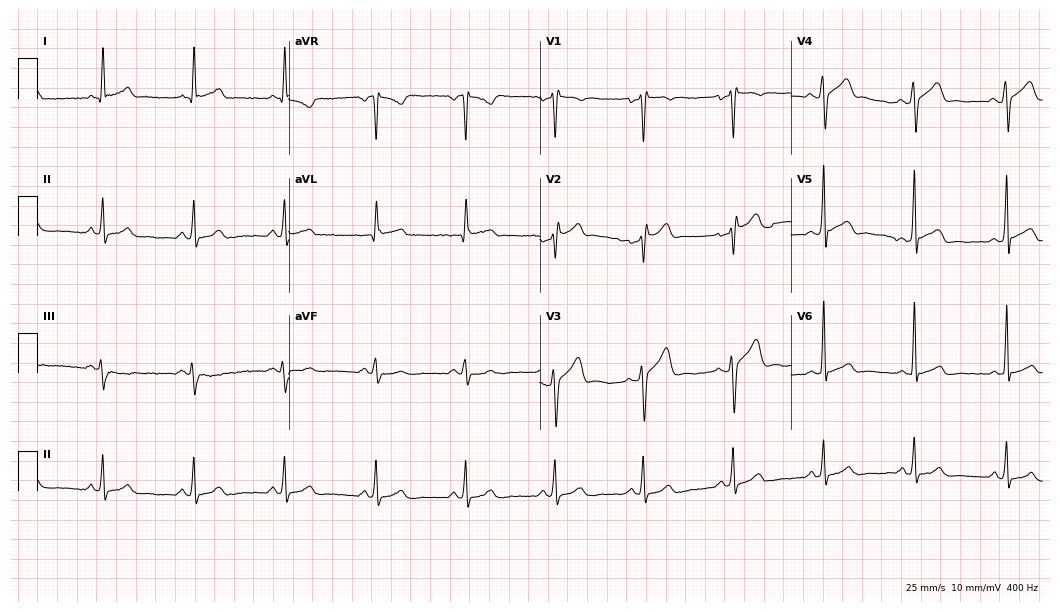
ECG (10.2-second recording at 400 Hz) — a 45-year-old man. Screened for six findings — first-degree AV block, right bundle branch block, left bundle branch block, sinus bradycardia, atrial fibrillation, sinus tachycardia — none is recorded.